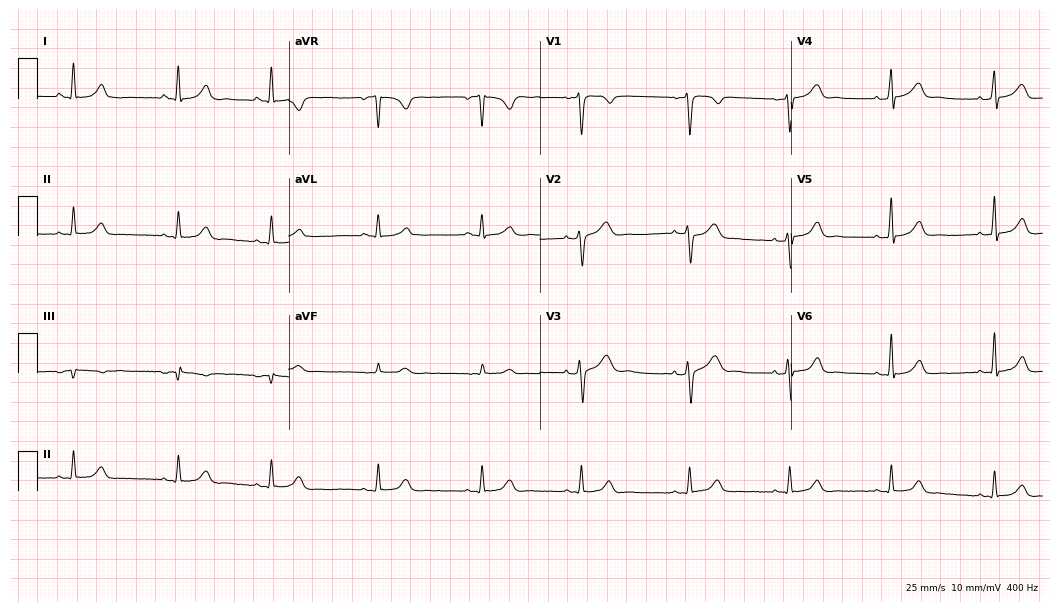
Resting 12-lead electrocardiogram (10.2-second recording at 400 Hz). Patient: a male, 30 years old. Read as a normal ECG.